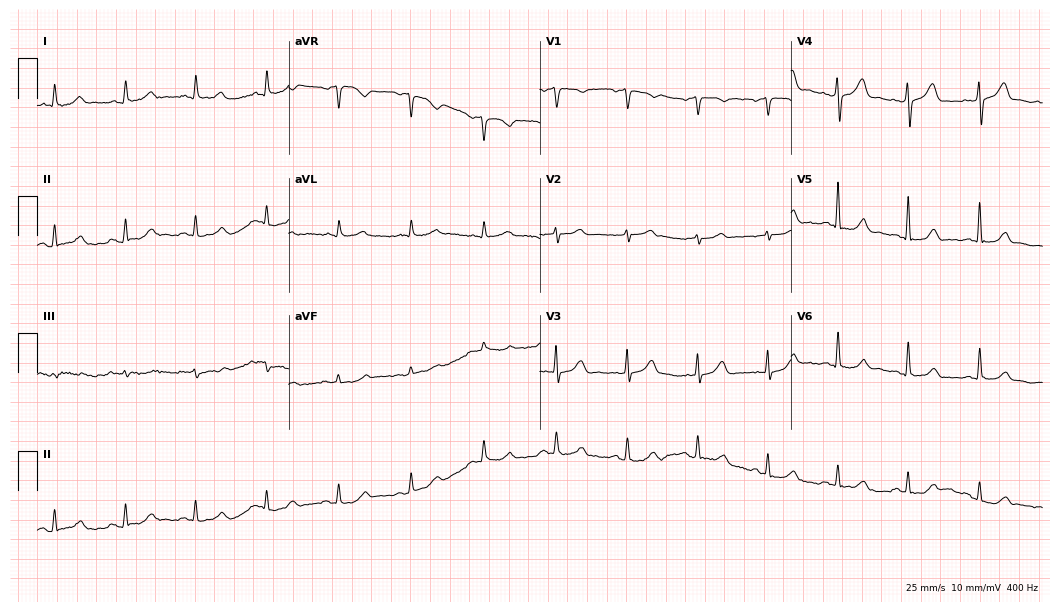
ECG — an 80-year-old man. Screened for six findings — first-degree AV block, right bundle branch block (RBBB), left bundle branch block (LBBB), sinus bradycardia, atrial fibrillation (AF), sinus tachycardia — none is recorded. Findings outside these six are not listed.